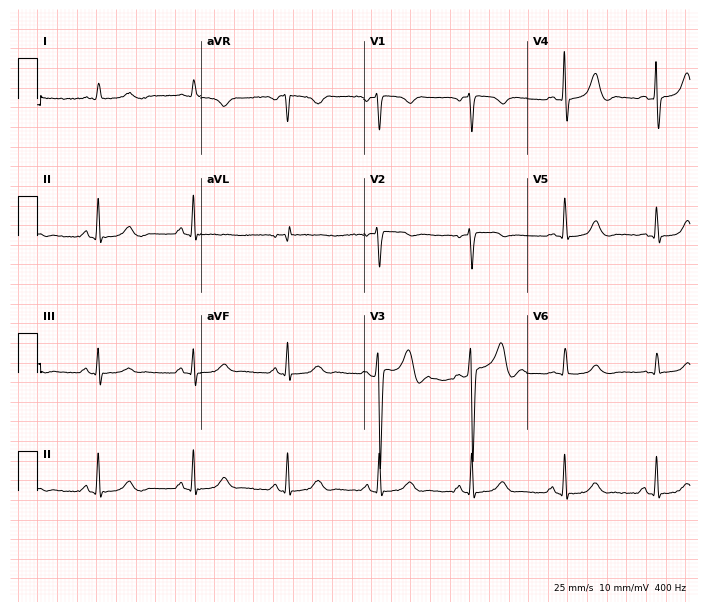
12-lead ECG from an 81-year-old woman. Labelled as a normal ECG.